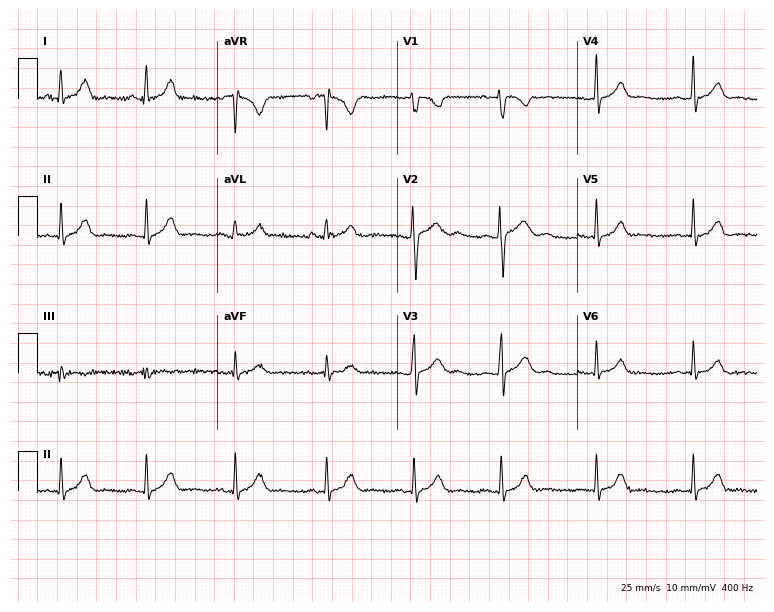
12-lead ECG from a woman, 26 years old (7.3-second recording at 400 Hz). No first-degree AV block, right bundle branch block, left bundle branch block, sinus bradycardia, atrial fibrillation or sinus tachycardia recorded for this tracing.